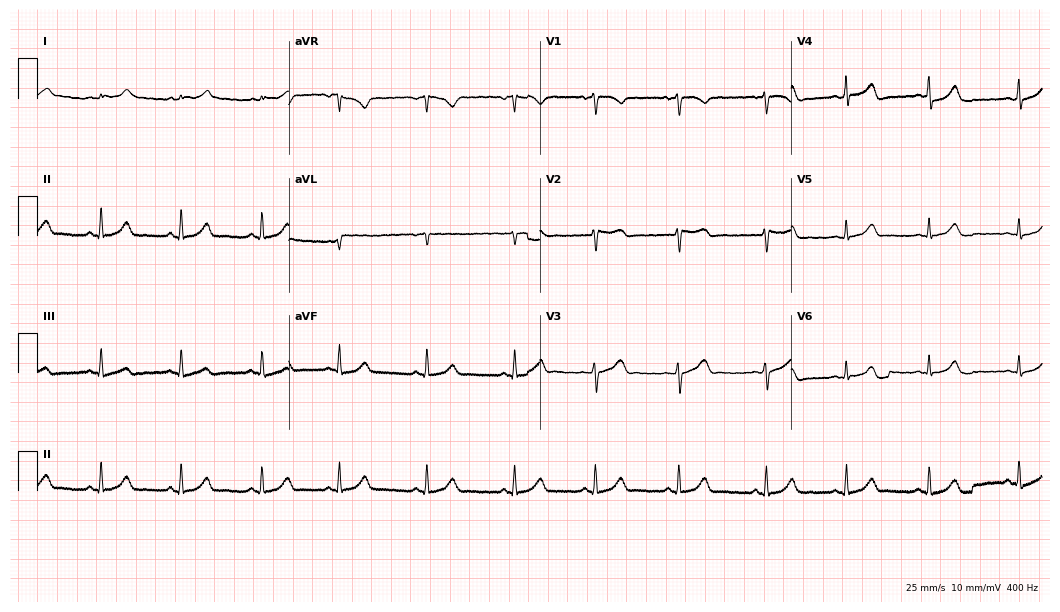
Resting 12-lead electrocardiogram (10.2-second recording at 400 Hz). Patient: a female, 31 years old. None of these six findings is recorded: first-degree AV block, right bundle branch block, left bundle branch block, sinus bradycardia, atrial fibrillation, sinus tachycardia. Other findings, if any, are not listed.